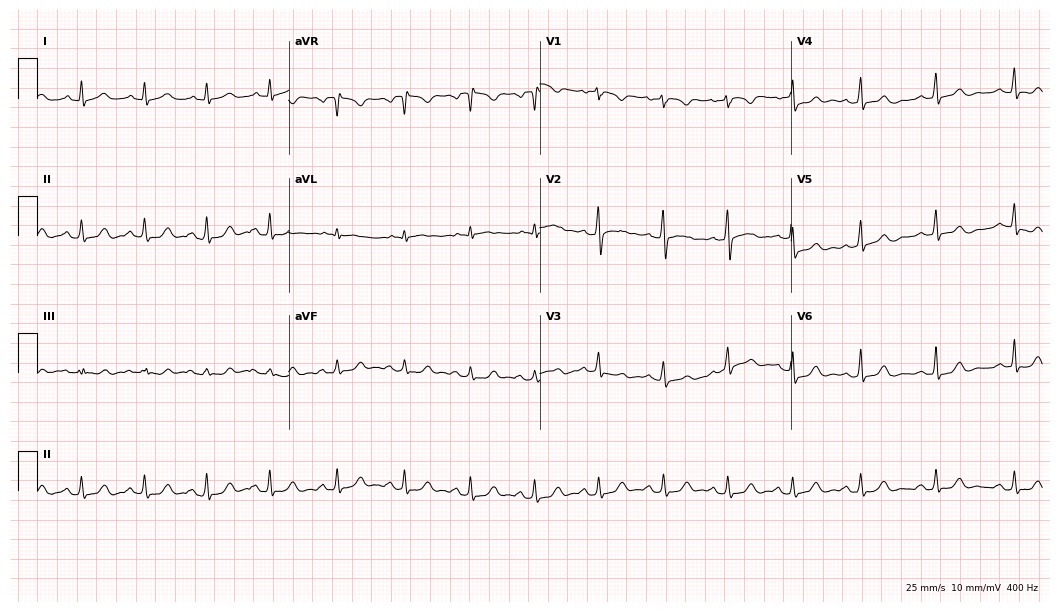
Resting 12-lead electrocardiogram. Patient: a 28-year-old woman. Read as a normal ECG.